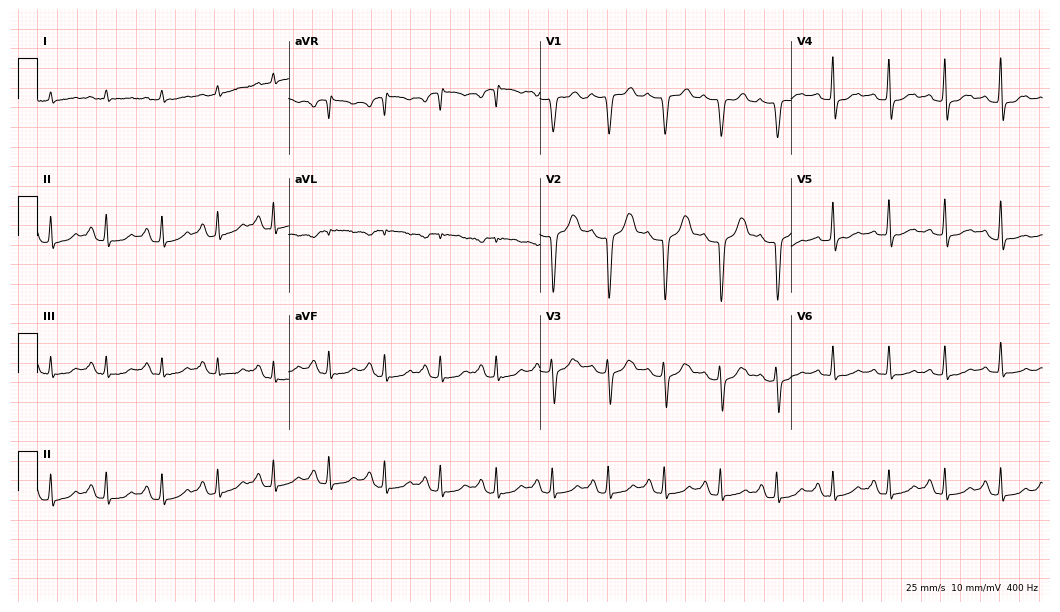
12-lead ECG from a 60-year-old male patient. Findings include sinus tachycardia (a sinus rate of 100 beats per minute or more).